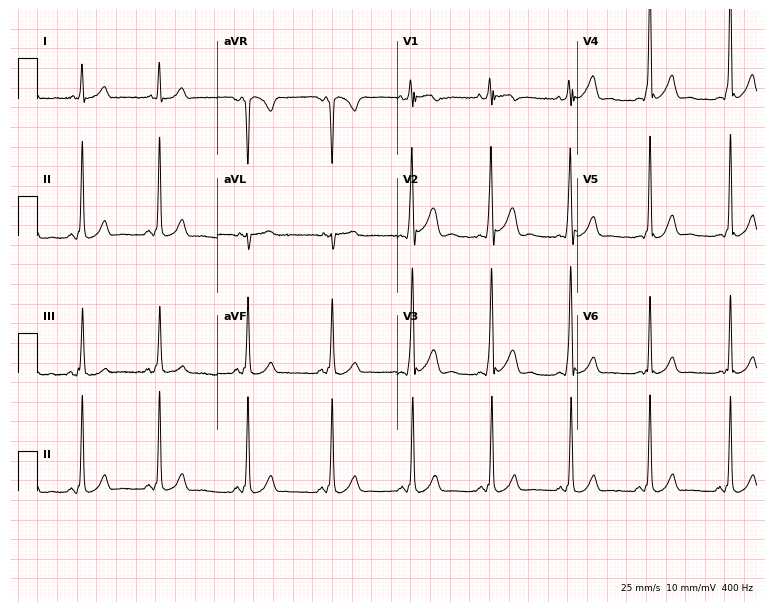
ECG — a 30-year-old female patient. Screened for six findings — first-degree AV block, right bundle branch block (RBBB), left bundle branch block (LBBB), sinus bradycardia, atrial fibrillation (AF), sinus tachycardia — none is recorded. Only these six findings were labelled.